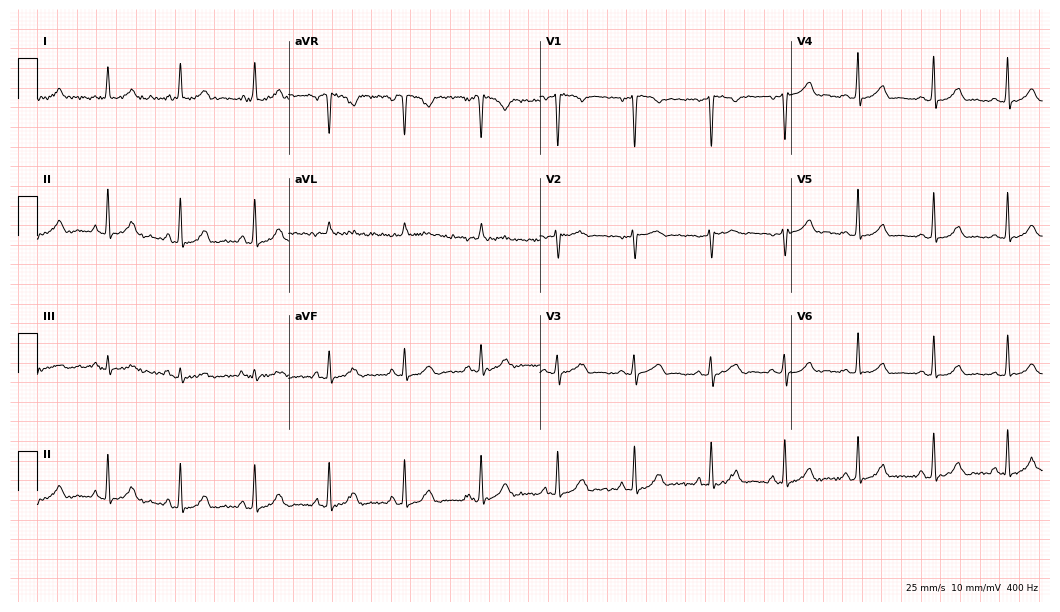
ECG (10.2-second recording at 400 Hz) — a woman, 31 years old. Labelled as a normal ECG.